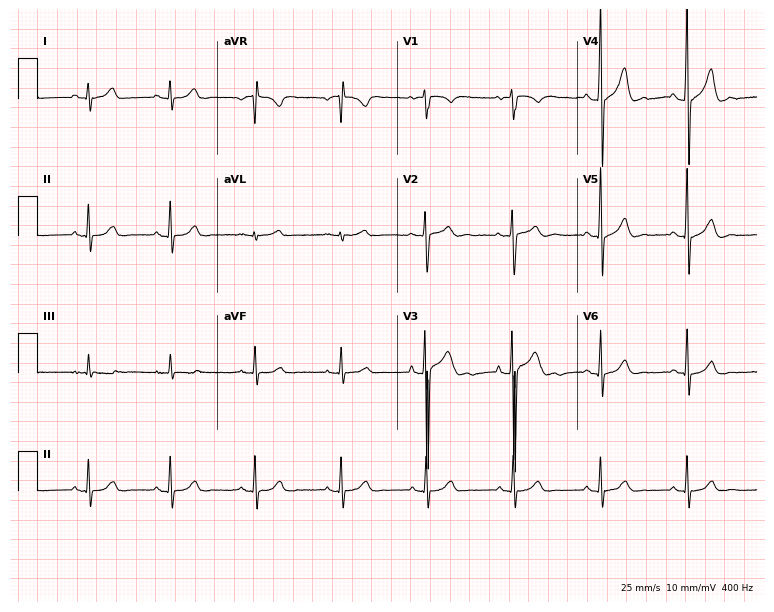
ECG (7.3-second recording at 400 Hz) — a man, 26 years old. Labelled as a normal ECG.